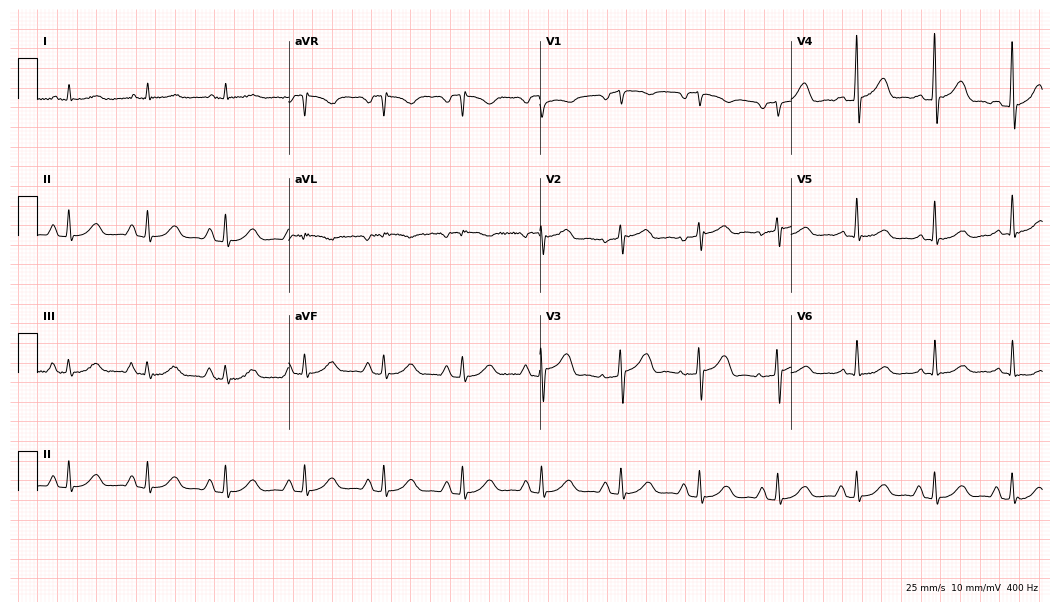
Resting 12-lead electrocardiogram (10.2-second recording at 400 Hz). Patient: a man, 79 years old. None of these six findings is recorded: first-degree AV block, right bundle branch block, left bundle branch block, sinus bradycardia, atrial fibrillation, sinus tachycardia.